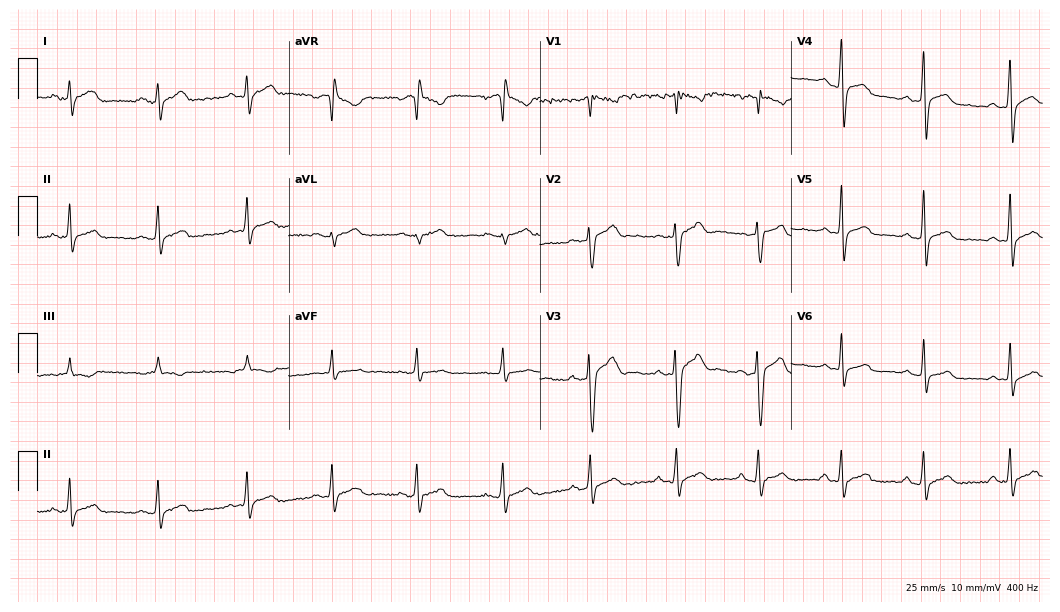
ECG (10.2-second recording at 400 Hz) — a male, 30 years old. Labelled as a normal ECG.